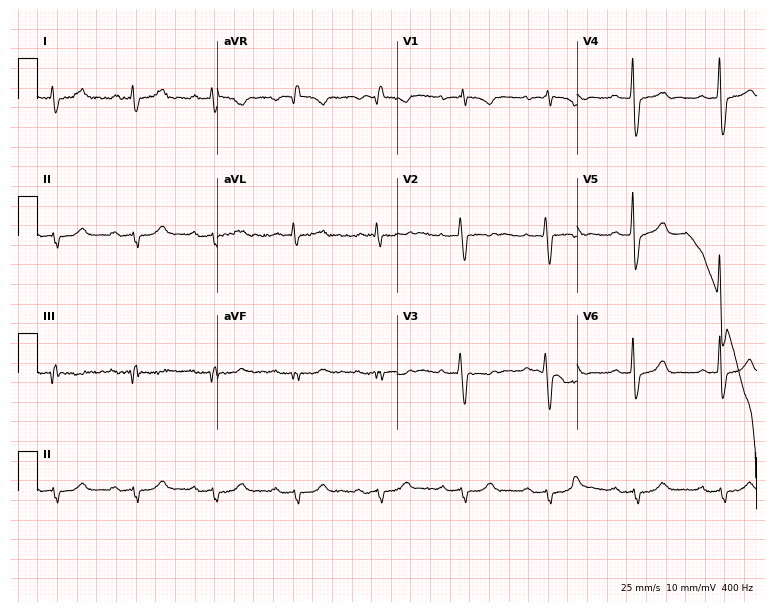
ECG — a 72-year-old man. Screened for six findings — first-degree AV block, right bundle branch block, left bundle branch block, sinus bradycardia, atrial fibrillation, sinus tachycardia — none is recorded. Only these six findings were labelled.